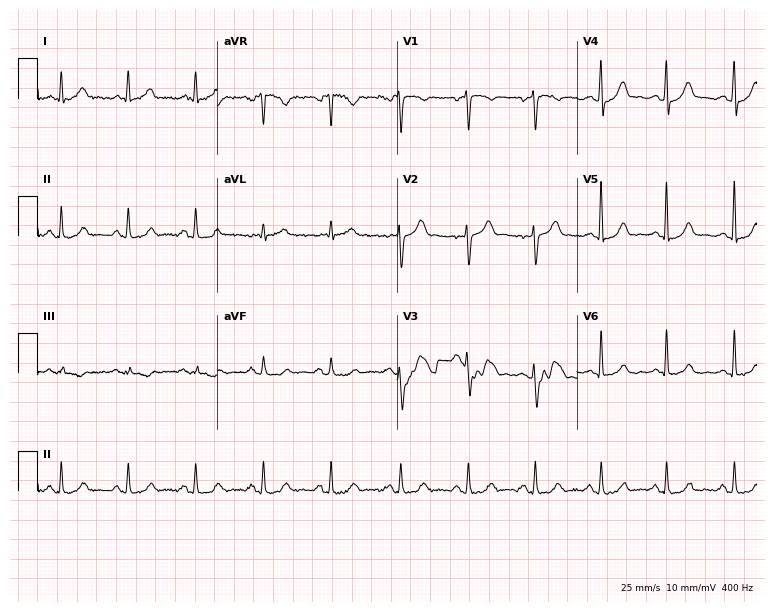
12-lead ECG from a 51-year-old man. Recorded interpretation: within normal limits.